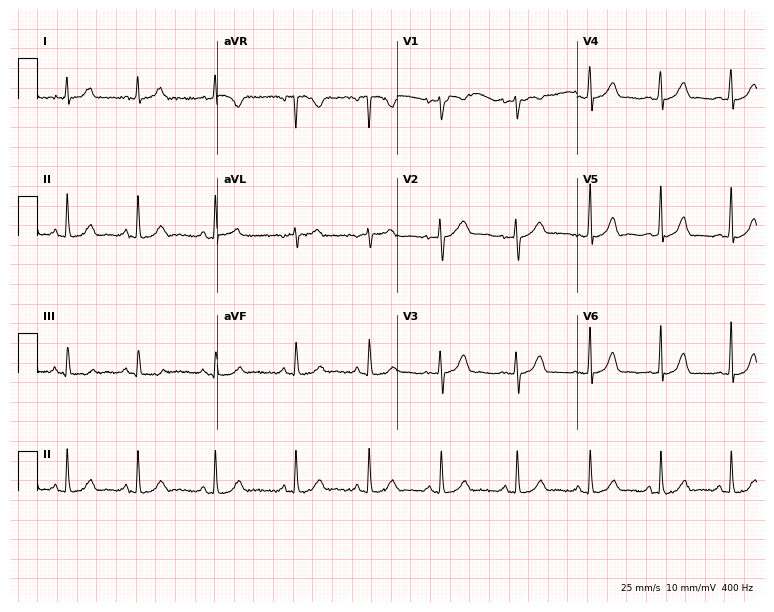
12-lead ECG from a woman, 34 years old. Screened for six findings — first-degree AV block, right bundle branch block, left bundle branch block, sinus bradycardia, atrial fibrillation, sinus tachycardia — none is recorded. Findings outside these six are not listed.